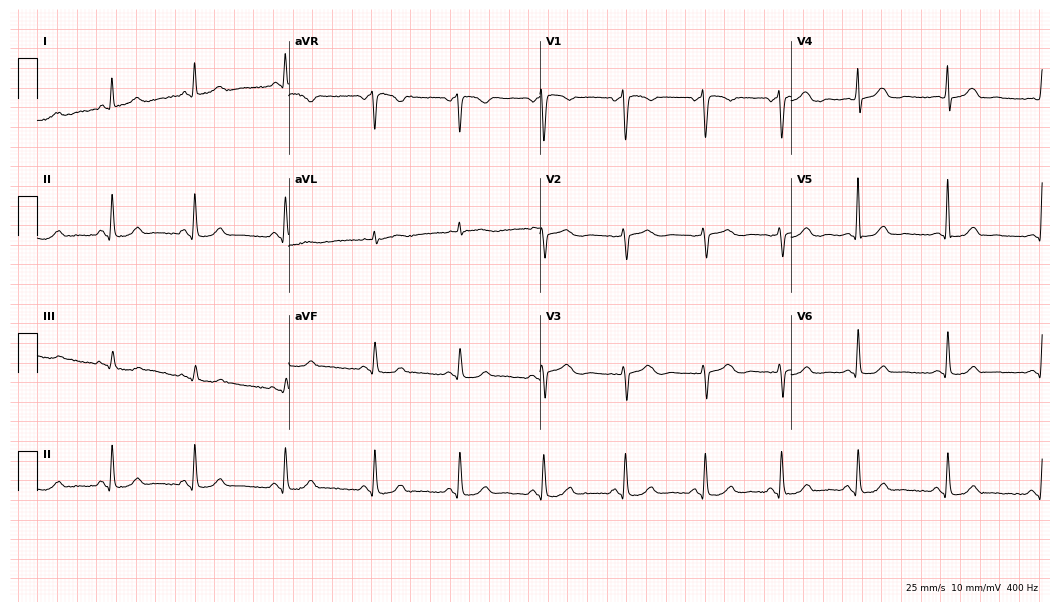
Electrocardiogram, a 54-year-old female patient. Overall reading on record: normal ECG.